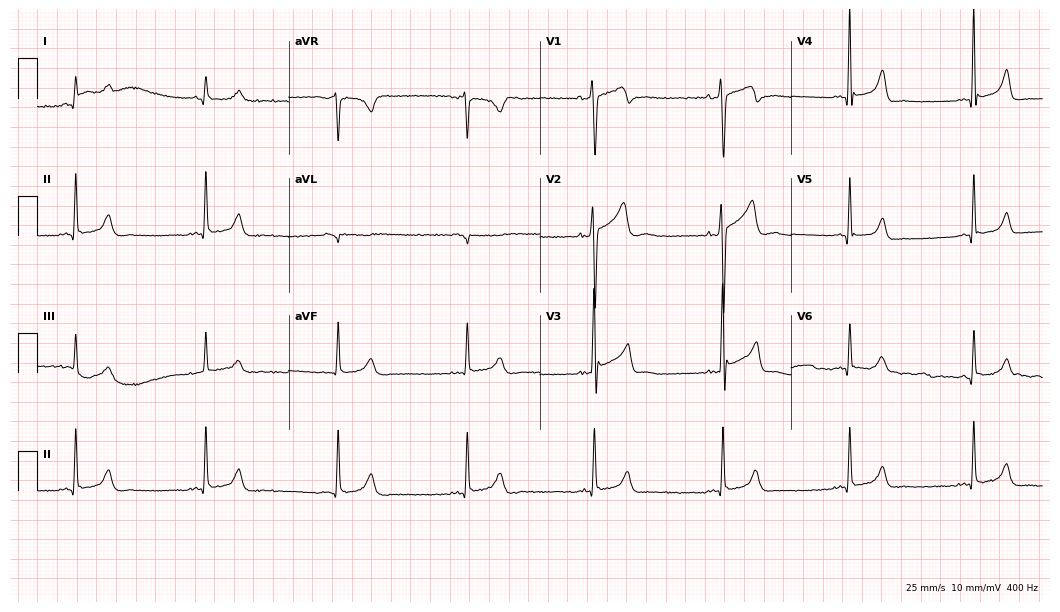
Resting 12-lead electrocardiogram (10.2-second recording at 400 Hz). Patient: a 41-year-old male. The tracing shows sinus bradycardia (a sinus rate of 50 beats per minute or less).